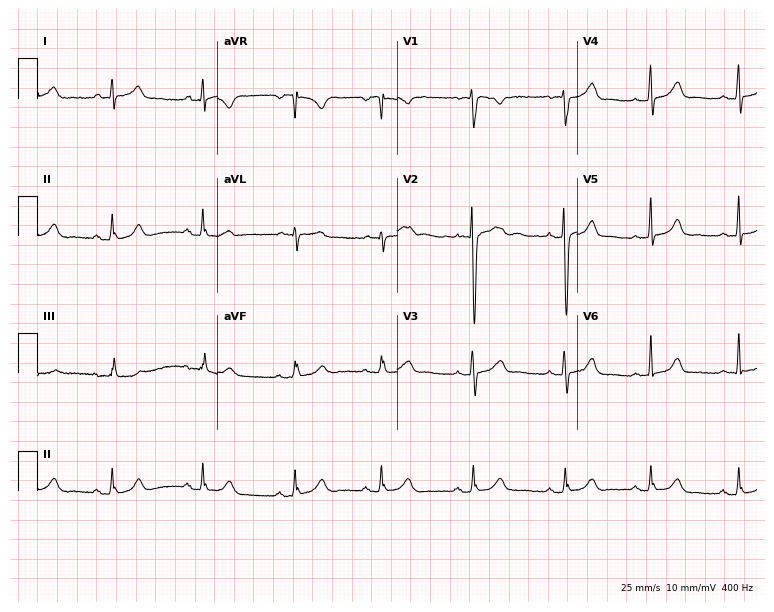
Standard 12-lead ECG recorded from a woman, 25 years old. Read as a normal ECG.